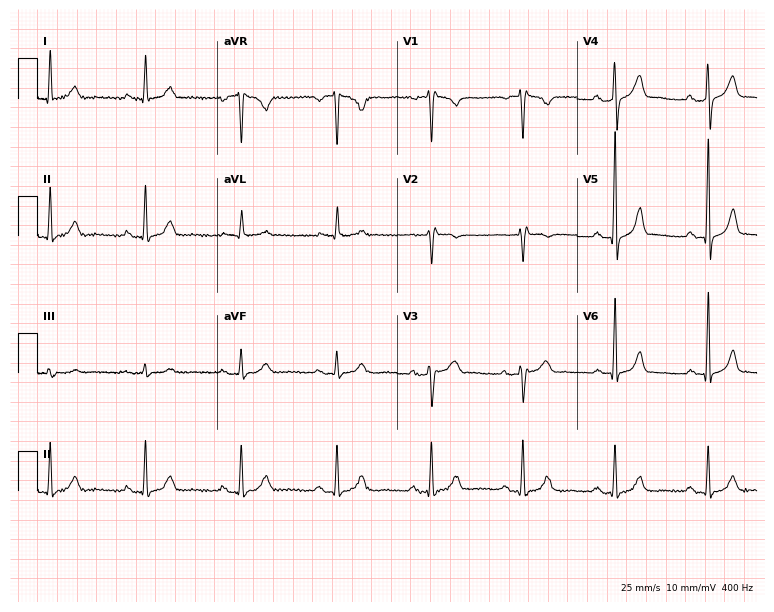
Electrocardiogram, a male, 61 years old. Of the six screened findings (first-degree AV block, right bundle branch block (RBBB), left bundle branch block (LBBB), sinus bradycardia, atrial fibrillation (AF), sinus tachycardia), none is recorded.